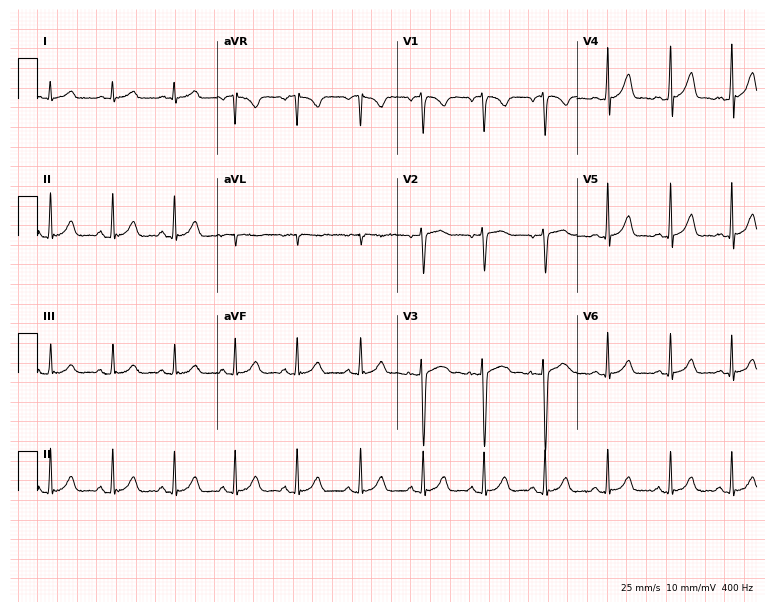
ECG — a woman, 22 years old. Labelled as a normal ECG.